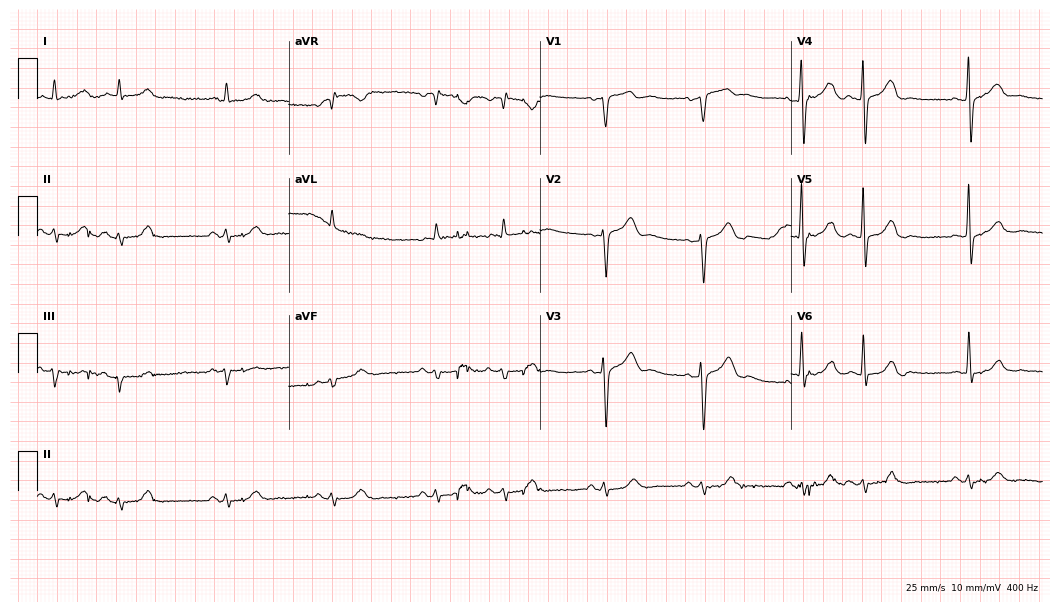
Electrocardiogram, a man, 77 years old. Of the six screened findings (first-degree AV block, right bundle branch block (RBBB), left bundle branch block (LBBB), sinus bradycardia, atrial fibrillation (AF), sinus tachycardia), none is recorded.